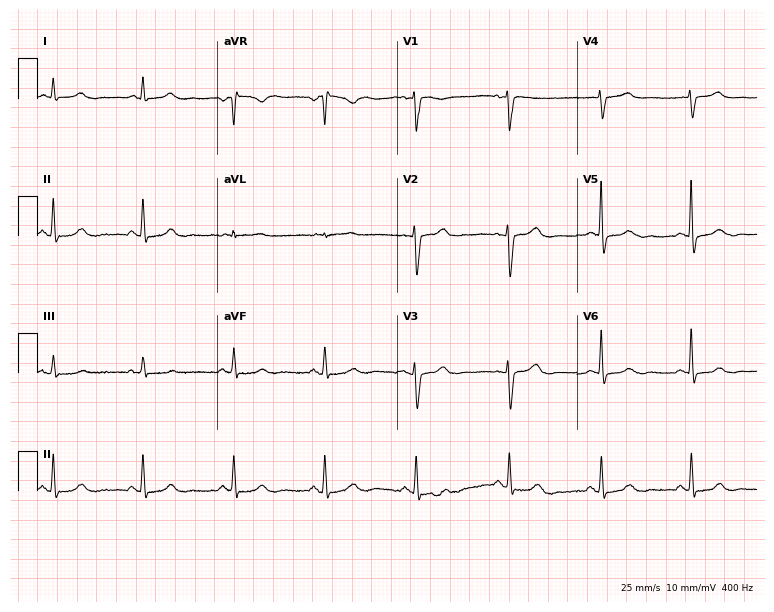
ECG (7.3-second recording at 400 Hz) — a 56-year-old woman. Screened for six findings — first-degree AV block, right bundle branch block, left bundle branch block, sinus bradycardia, atrial fibrillation, sinus tachycardia — none is recorded. Other findings, if any, are not listed.